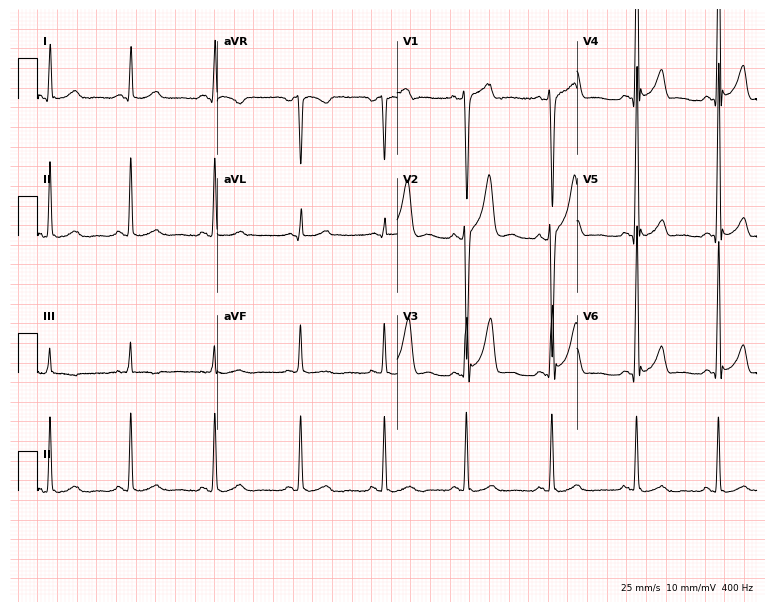
12-lead ECG from a 33-year-old male patient. Labelled as a normal ECG.